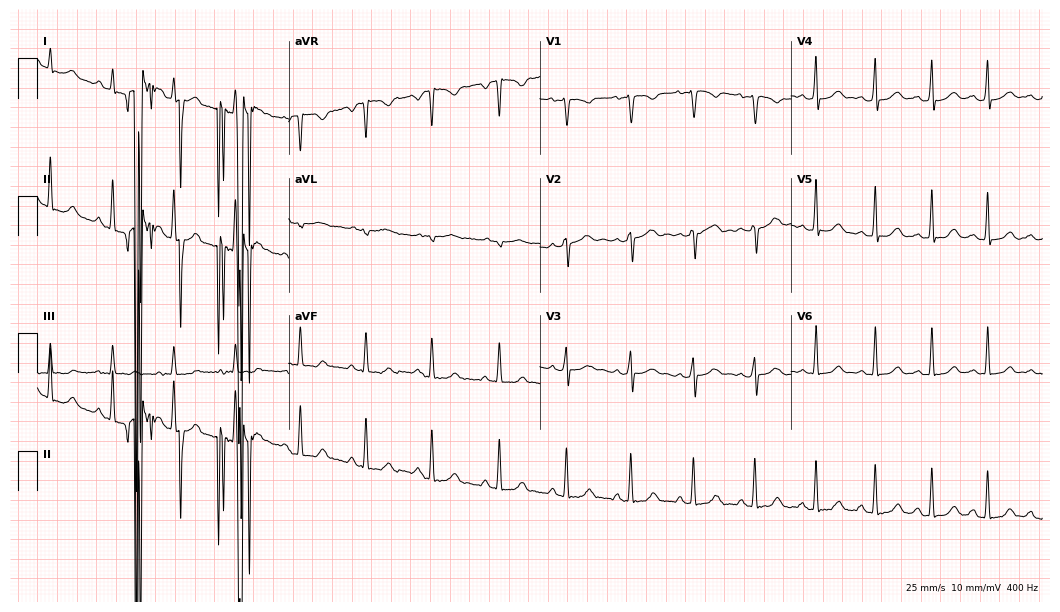
12-lead ECG from a woman, 17 years old. No first-degree AV block, right bundle branch block (RBBB), left bundle branch block (LBBB), sinus bradycardia, atrial fibrillation (AF) or sinus tachycardia recorded for this tracing.